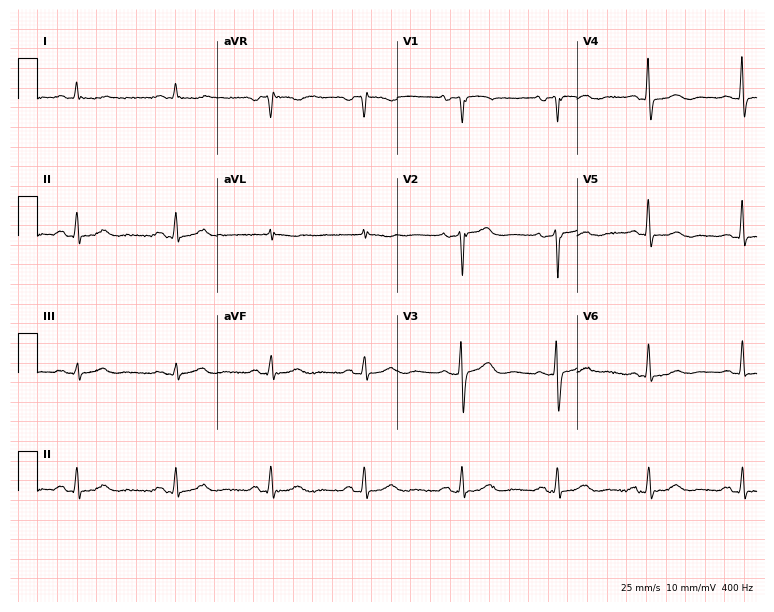
Standard 12-lead ECG recorded from a female, 70 years old (7.3-second recording at 400 Hz). Read as a normal ECG.